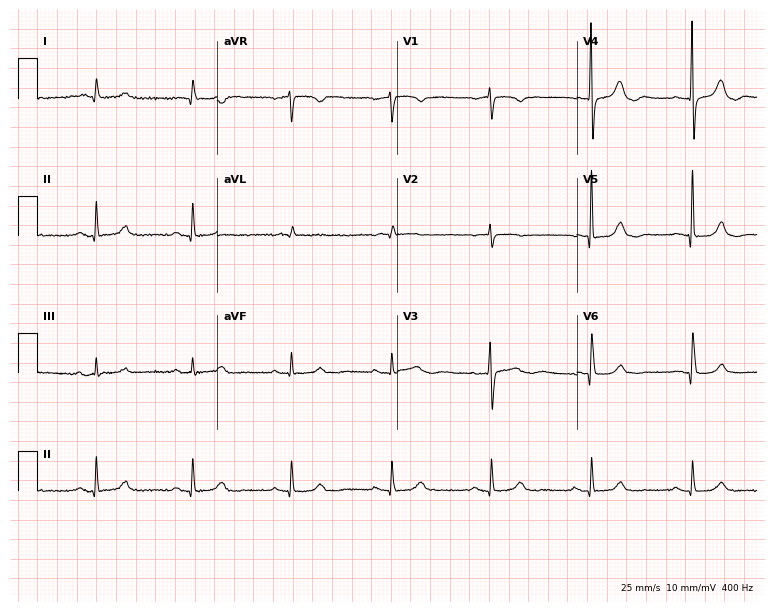
Resting 12-lead electrocardiogram (7.3-second recording at 400 Hz). Patient: an 80-year-old female. None of these six findings is recorded: first-degree AV block, right bundle branch block, left bundle branch block, sinus bradycardia, atrial fibrillation, sinus tachycardia. Other findings, if any, are not listed.